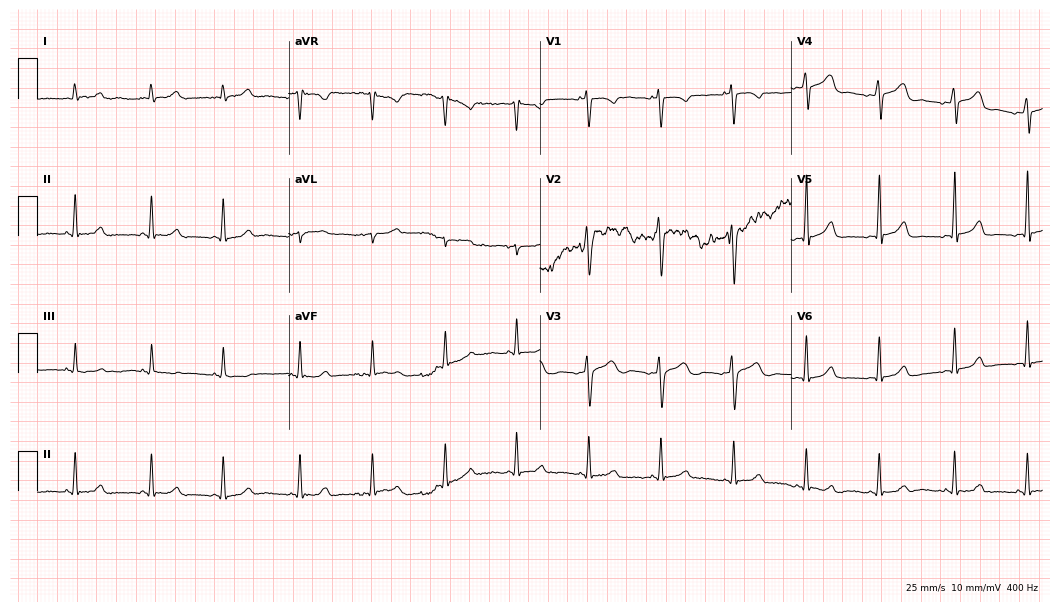
Electrocardiogram, a female patient, 22 years old. Overall reading on record: normal ECG.